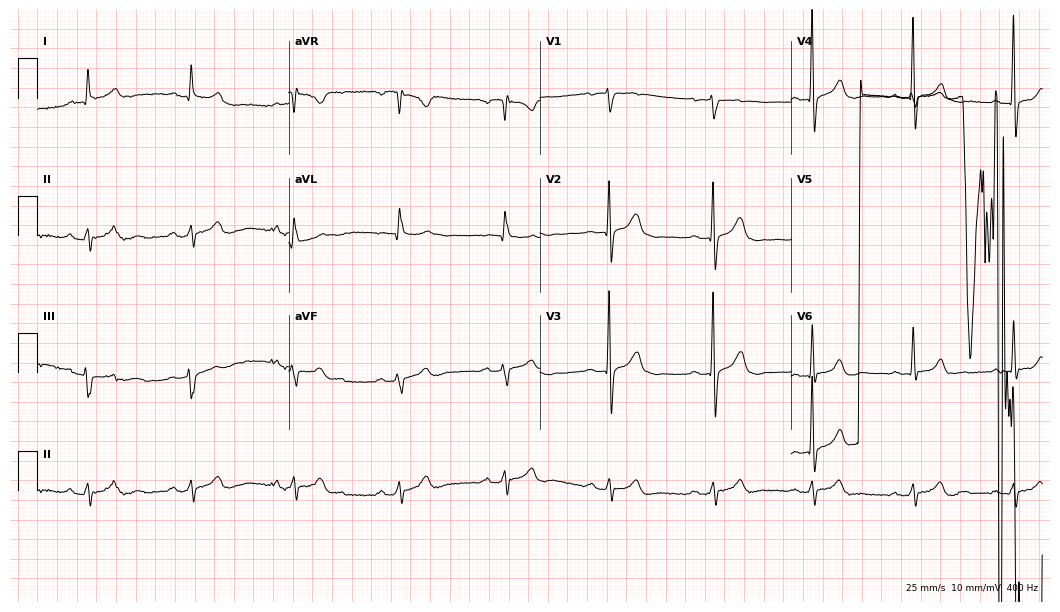
Electrocardiogram (10.2-second recording at 400 Hz), a male patient, 54 years old. Of the six screened findings (first-degree AV block, right bundle branch block, left bundle branch block, sinus bradycardia, atrial fibrillation, sinus tachycardia), none is recorded. Other findings, if any, are not listed.